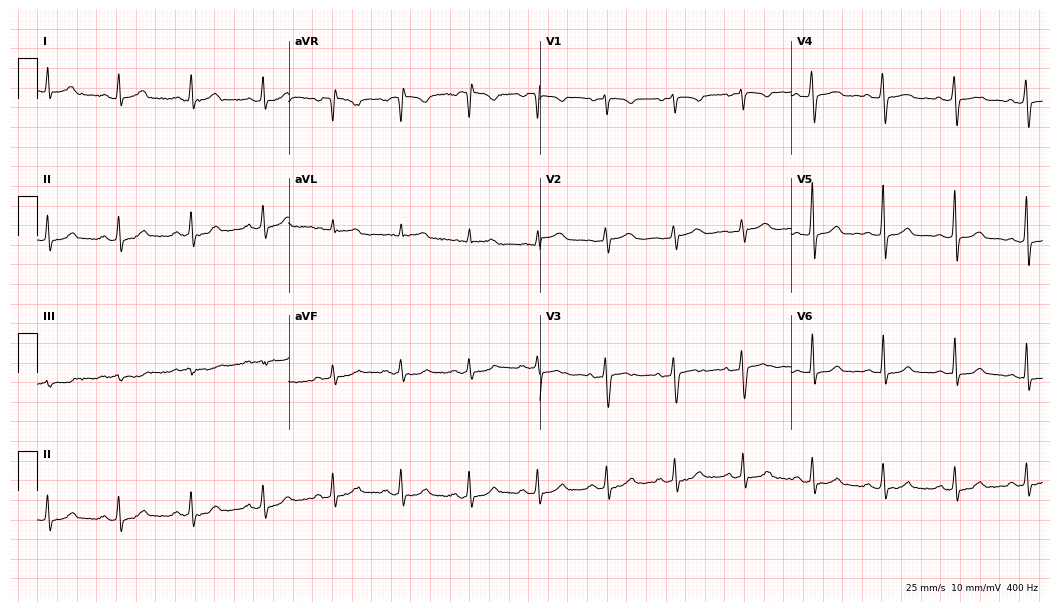
ECG — a 40-year-old female. Labelled as a normal ECG.